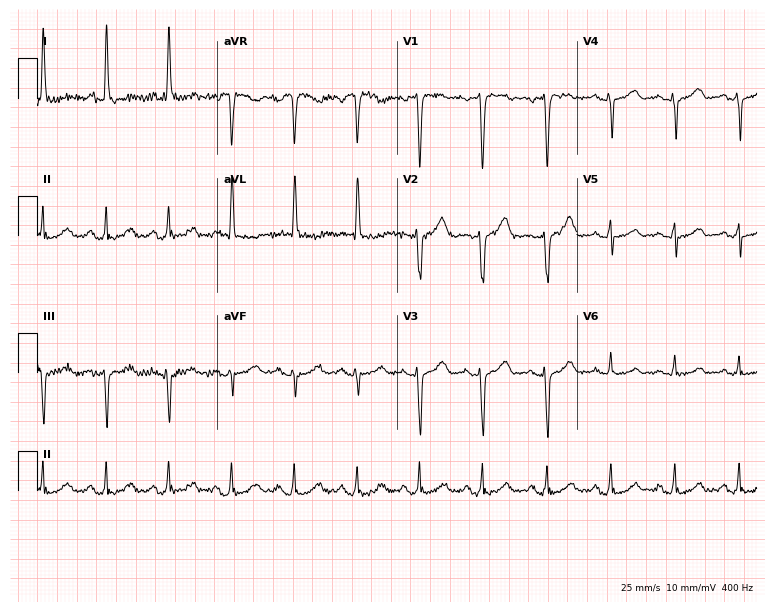
12-lead ECG from a 60-year-old woman. No first-degree AV block, right bundle branch block (RBBB), left bundle branch block (LBBB), sinus bradycardia, atrial fibrillation (AF) or sinus tachycardia recorded for this tracing. Other findings, if any, are not listed.